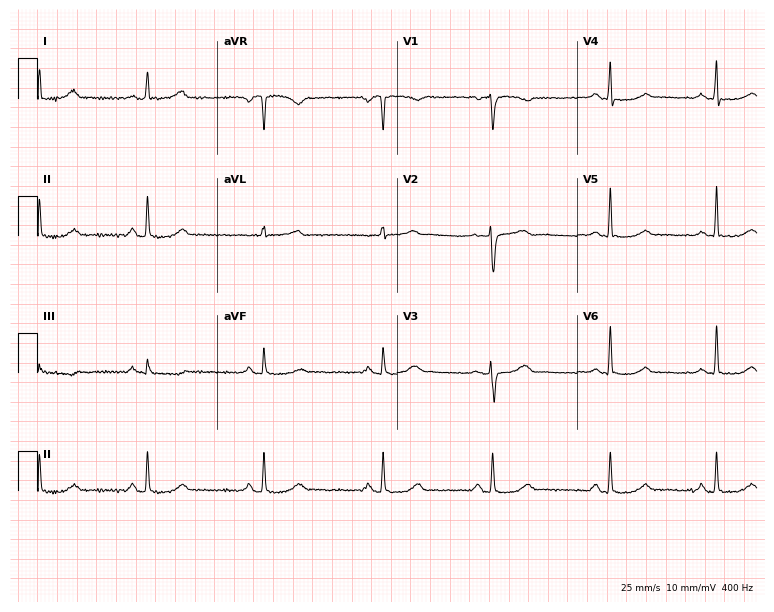
Standard 12-lead ECG recorded from a 53-year-old woman. None of these six findings is recorded: first-degree AV block, right bundle branch block, left bundle branch block, sinus bradycardia, atrial fibrillation, sinus tachycardia. Only these six findings were labelled.